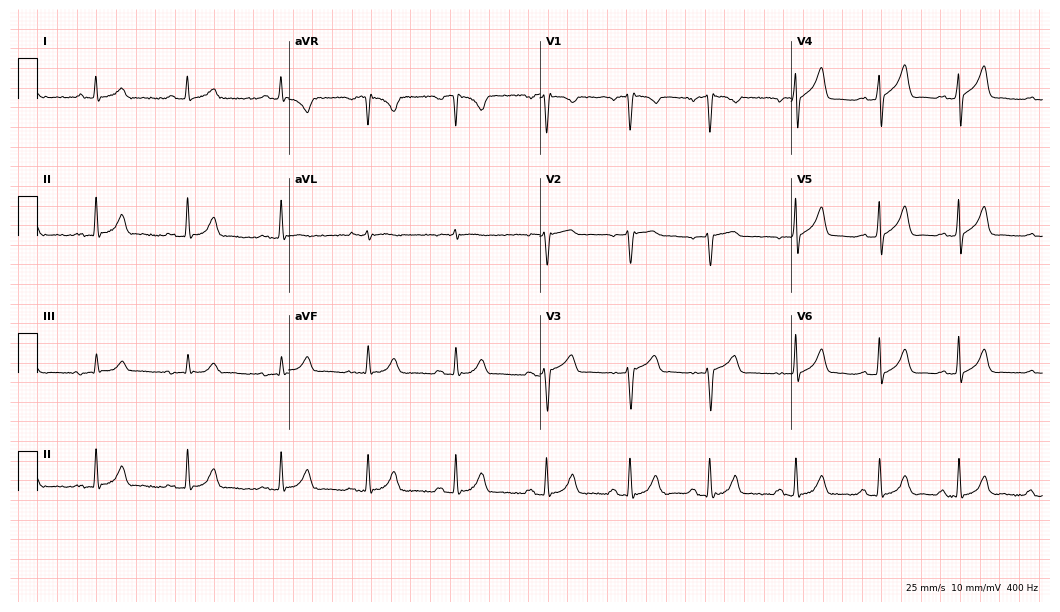
Resting 12-lead electrocardiogram (10.2-second recording at 400 Hz). Patient: a 55-year-old man. None of these six findings is recorded: first-degree AV block, right bundle branch block, left bundle branch block, sinus bradycardia, atrial fibrillation, sinus tachycardia.